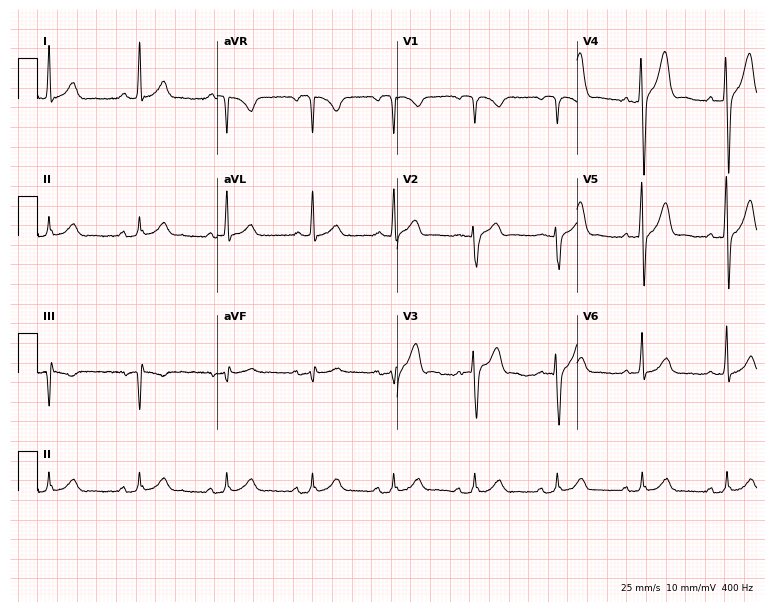
Standard 12-lead ECG recorded from a 56-year-old male. Read as a normal ECG.